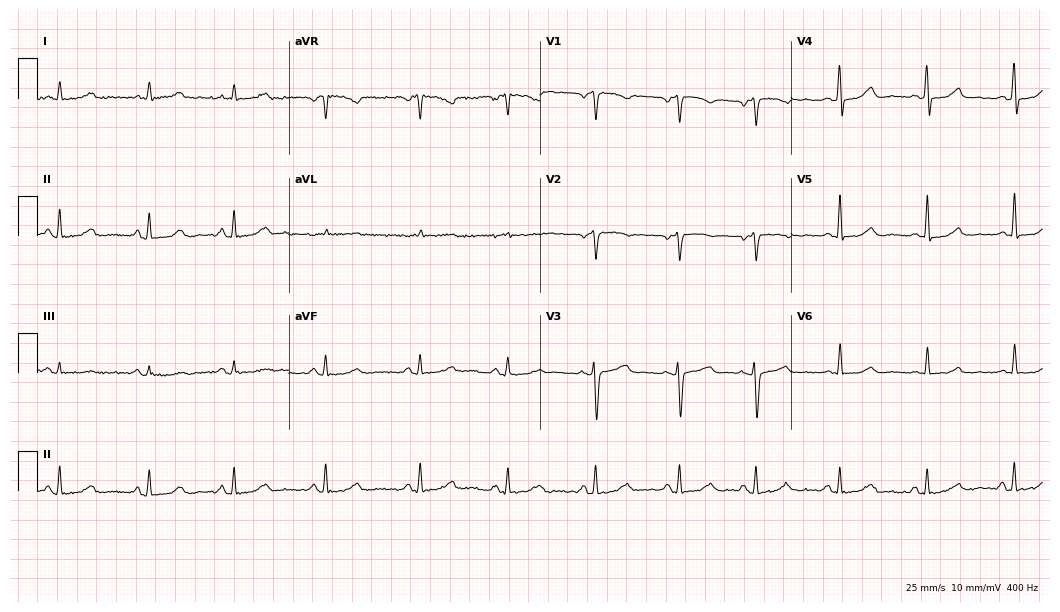
ECG (10.2-second recording at 400 Hz) — a 45-year-old woman. Labelled as a normal ECG.